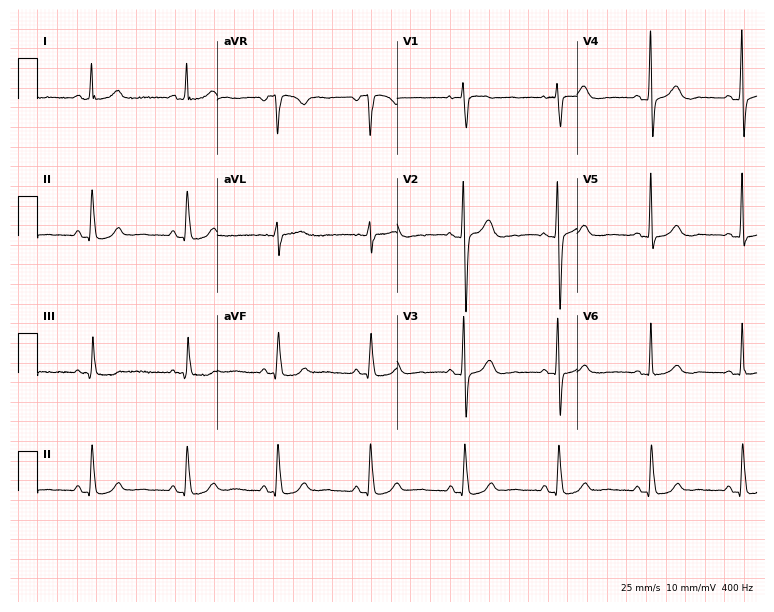
Electrocardiogram (7.3-second recording at 400 Hz), a female, 59 years old. Overall reading on record: normal ECG.